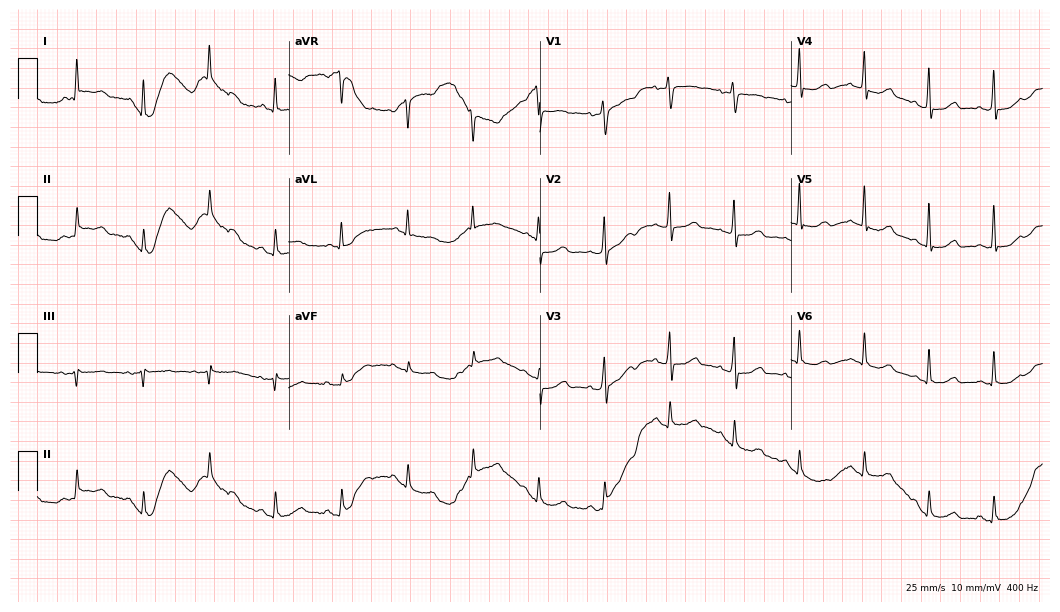
12-lead ECG (10.2-second recording at 400 Hz) from a 53-year-old woman. Labelled as a normal ECG.